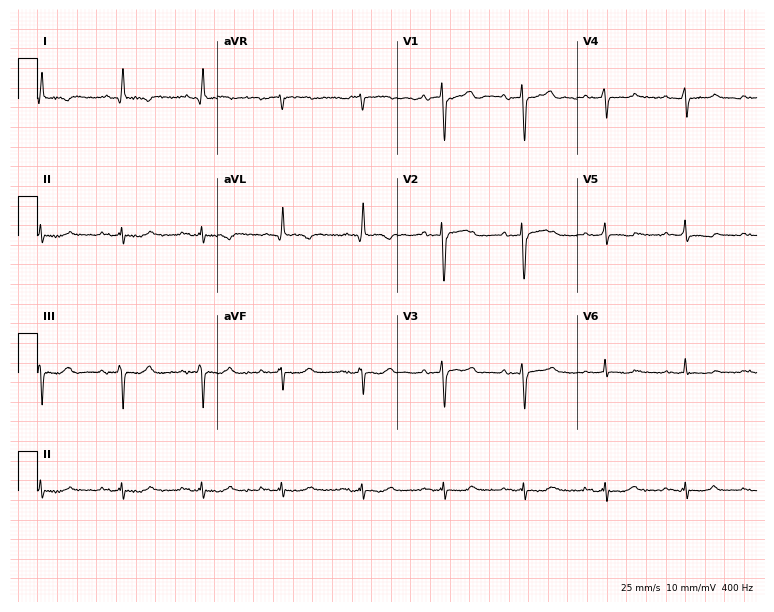
Resting 12-lead electrocardiogram (7.3-second recording at 400 Hz). Patient: a 71-year-old man. None of these six findings is recorded: first-degree AV block, right bundle branch block, left bundle branch block, sinus bradycardia, atrial fibrillation, sinus tachycardia. Only these six findings were labelled.